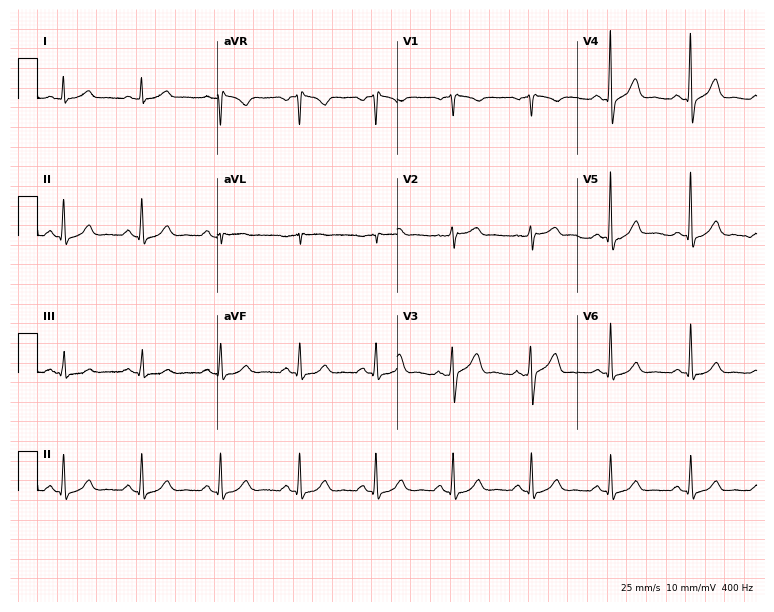
Standard 12-lead ECG recorded from a male, 58 years old. Read as a normal ECG.